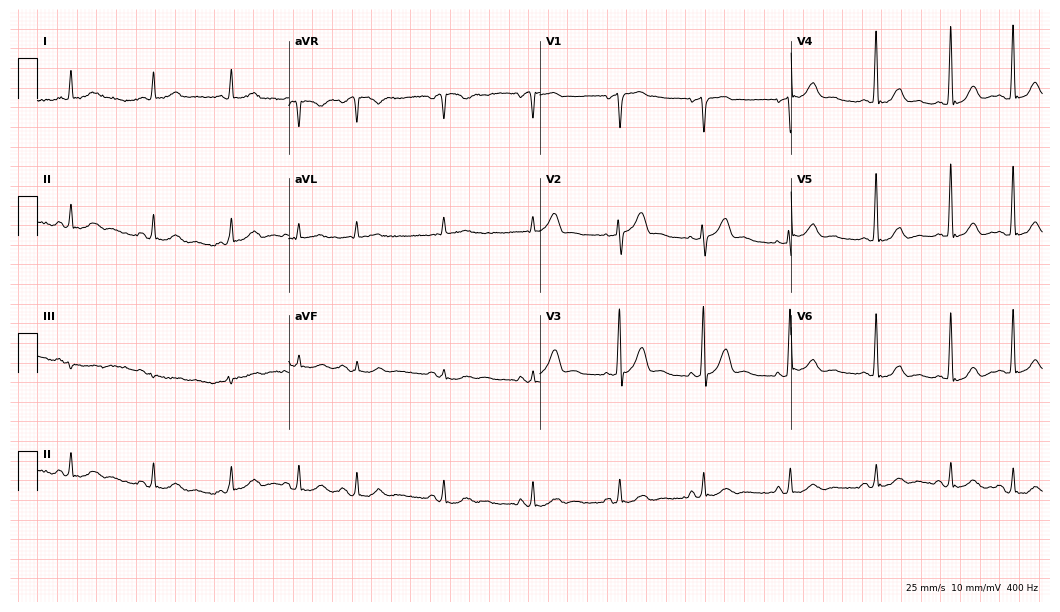
Standard 12-lead ECG recorded from a male, 70 years old. Read as a normal ECG.